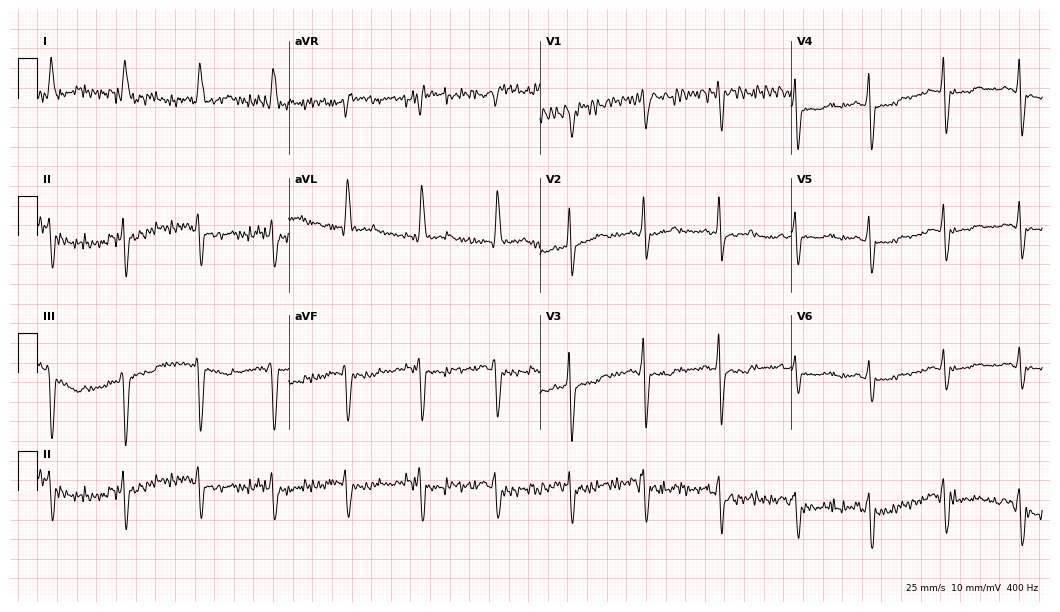
Electrocardiogram (10.2-second recording at 400 Hz), a woman, 52 years old. Of the six screened findings (first-degree AV block, right bundle branch block, left bundle branch block, sinus bradycardia, atrial fibrillation, sinus tachycardia), none is recorded.